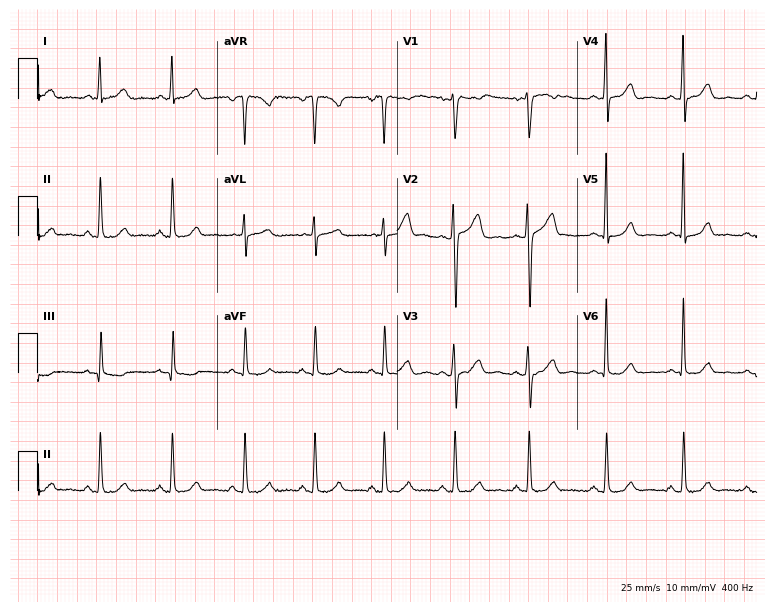
Standard 12-lead ECG recorded from a 36-year-old female (7.3-second recording at 400 Hz). Read as a normal ECG.